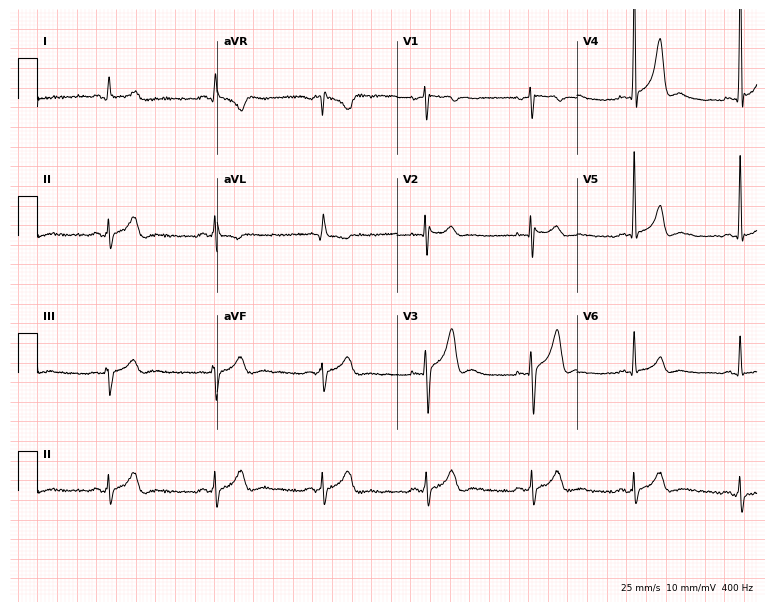
12-lead ECG from a man, 35 years old (7.3-second recording at 400 Hz). No first-degree AV block, right bundle branch block, left bundle branch block, sinus bradycardia, atrial fibrillation or sinus tachycardia recorded for this tracing. Only these six findings were labelled.